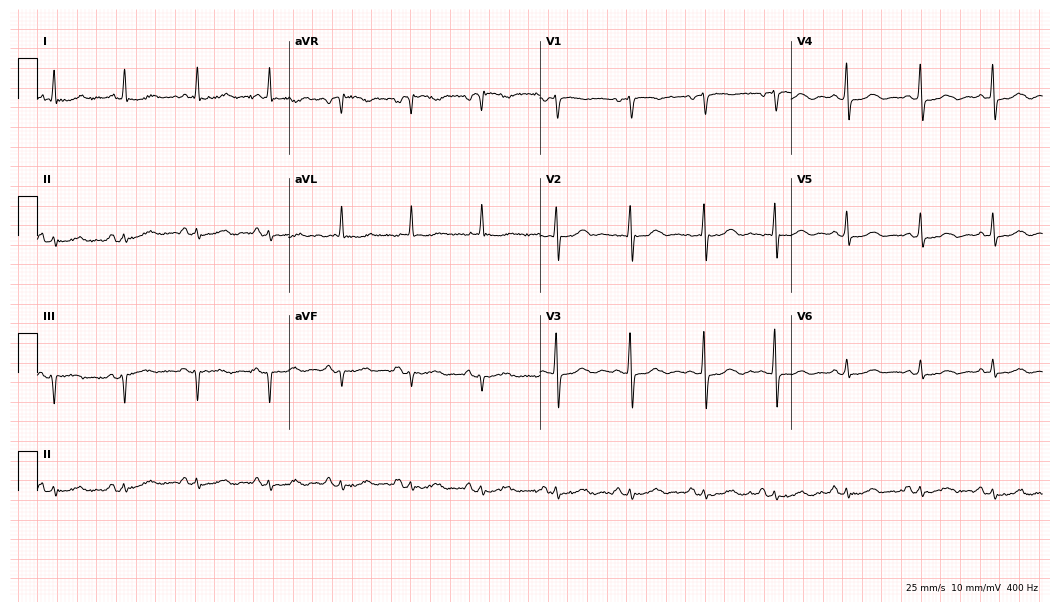
12-lead ECG from a female, 66 years old (10.2-second recording at 400 Hz). No first-degree AV block, right bundle branch block, left bundle branch block, sinus bradycardia, atrial fibrillation or sinus tachycardia recorded for this tracing.